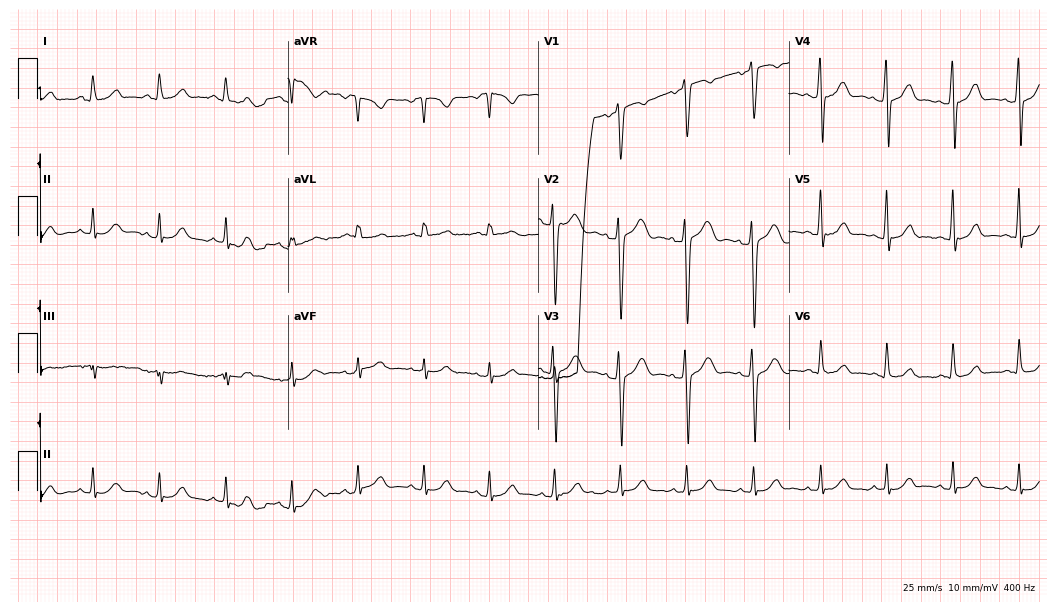
Standard 12-lead ECG recorded from a female, 45 years old (10.2-second recording at 400 Hz). None of these six findings is recorded: first-degree AV block, right bundle branch block, left bundle branch block, sinus bradycardia, atrial fibrillation, sinus tachycardia. Findings outside these six are not listed.